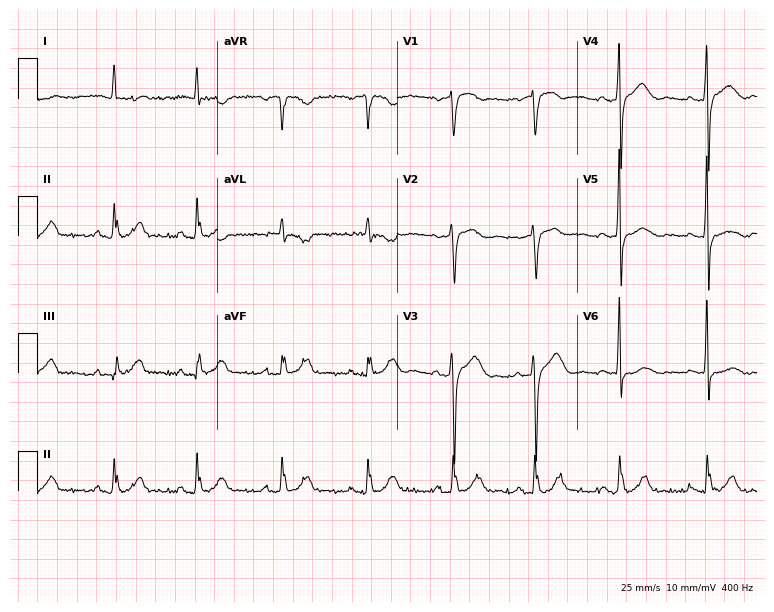
ECG (7.3-second recording at 400 Hz) — a female, 77 years old. Screened for six findings — first-degree AV block, right bundle branch block, left bundle branch block, sinus bradycardia, atrial fibrillation, sinus tachycardia — none is recorded.